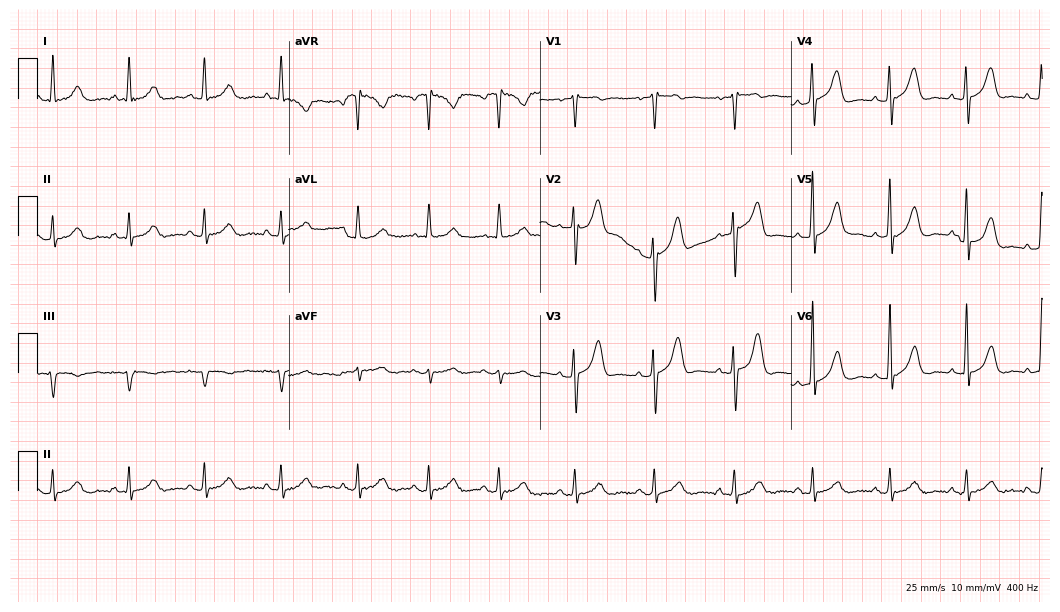
Standard 12-lead ECG recorded from a 66-year-old man (10.2-second recording at 400 Hz). None of these six findings is recorded: first-degree AV block, right bundle branch block (RBBB), left bundle branch block (LBBB), sinus bradycardia, atrial fibrillation (AF), sinus tachycardia. Other findings, if any, are not listed.